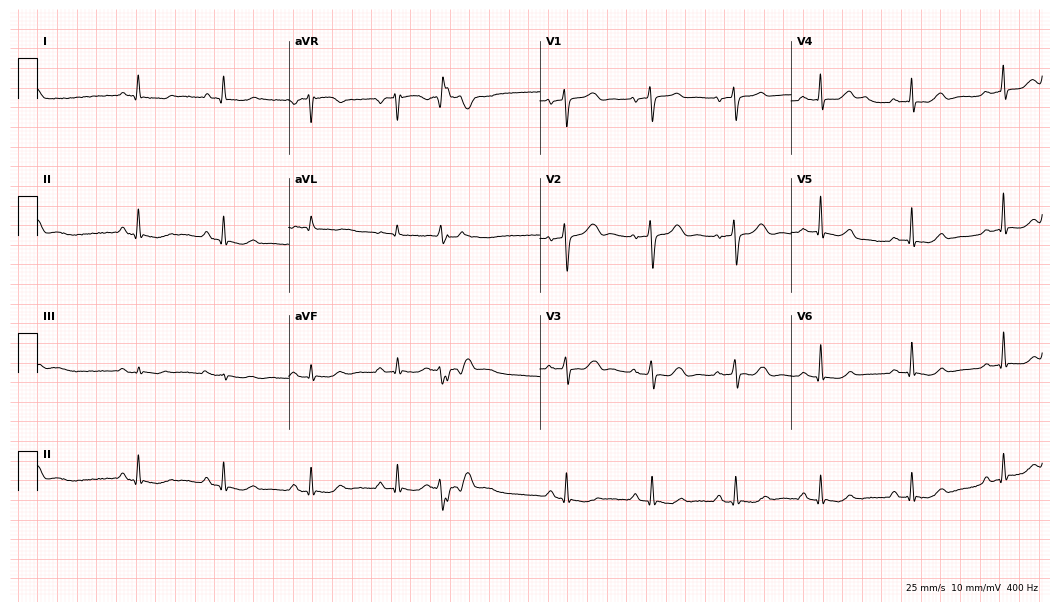
ECG — a woman, 60 years old. Screened for six findings — first-degree AV block, right bundle branch block, left bundle branch block, sinus bradycardia, atrial fibrillation, sinus tachycardia — none is recorded. Only these six findings were labelled.